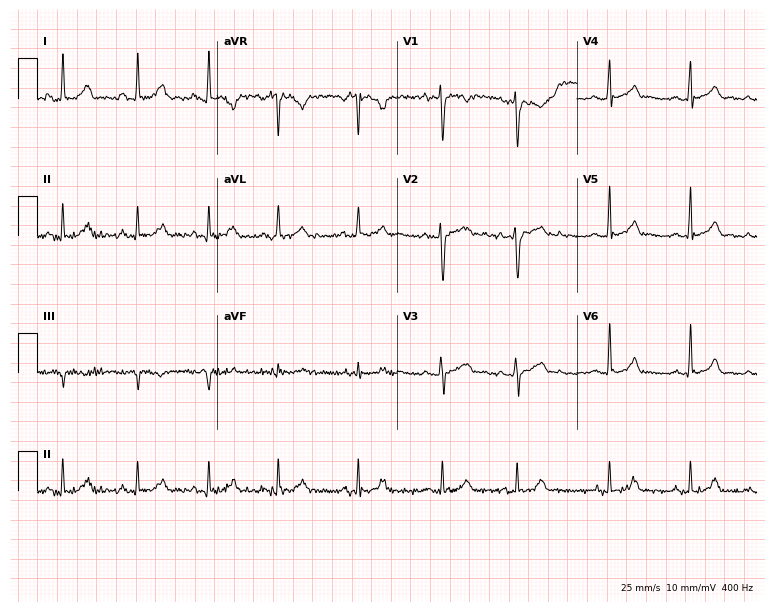
Resting 12-lead electrocardiogram (7.3-second recording at 400 Hz). Patient: a 25-year-old female. Read as a normal ECG.